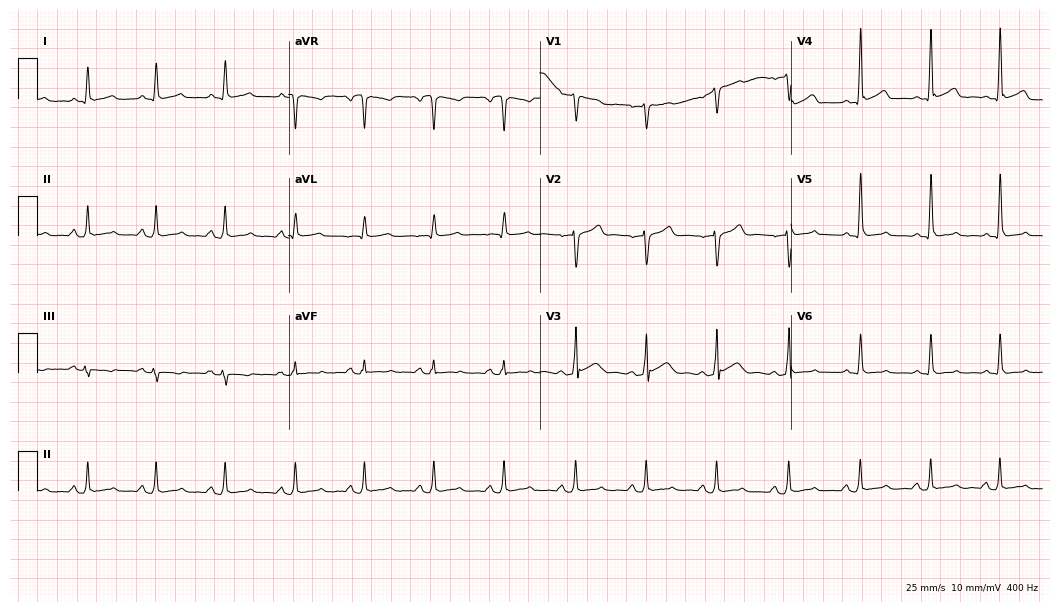
ECG — a 51-year-old male. Labelled as a normal ECG.